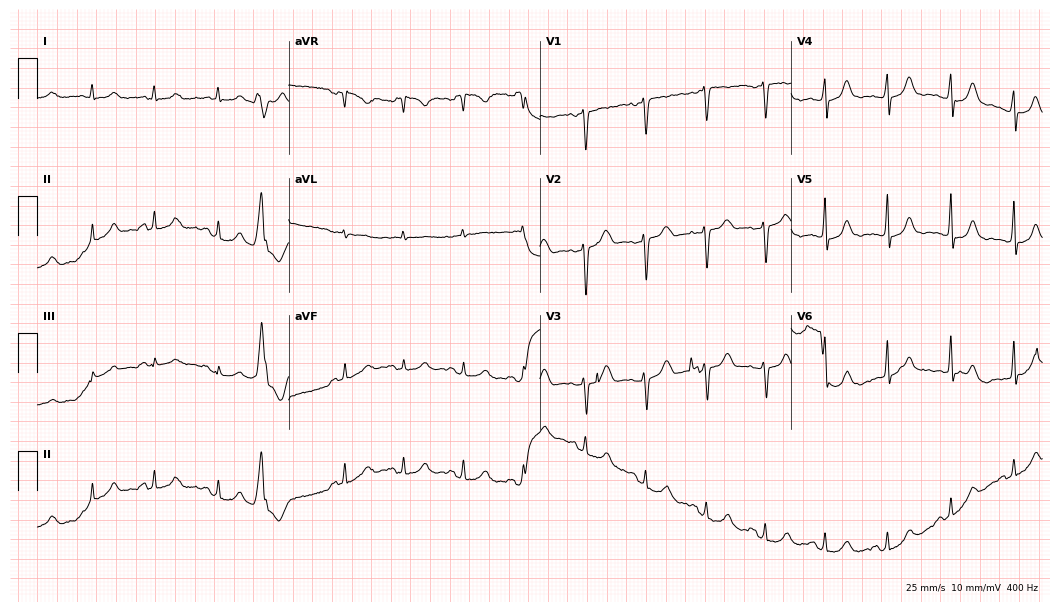
Resting 12-lead electrocardiogram. Patient: a 37-year-old female. None of these six findings is recorded: first-degree AV block, right bundle branch block (RBBB), left bundle branch block (LBBB), sinus bradycardia, atrial fibrillation (AF), sinus tachycardia.